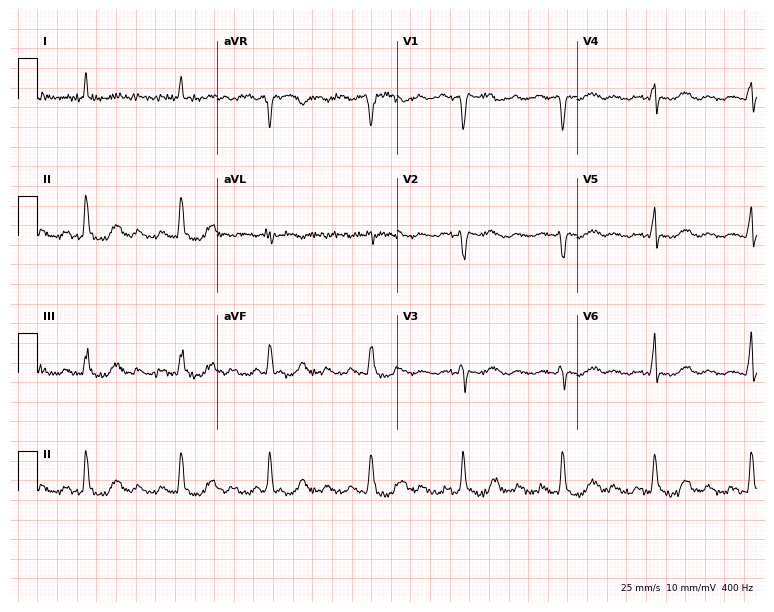
ECG (7.3-second recording at 400 Hz) — a 78-year-old woman. Findings include first-degree AV block.